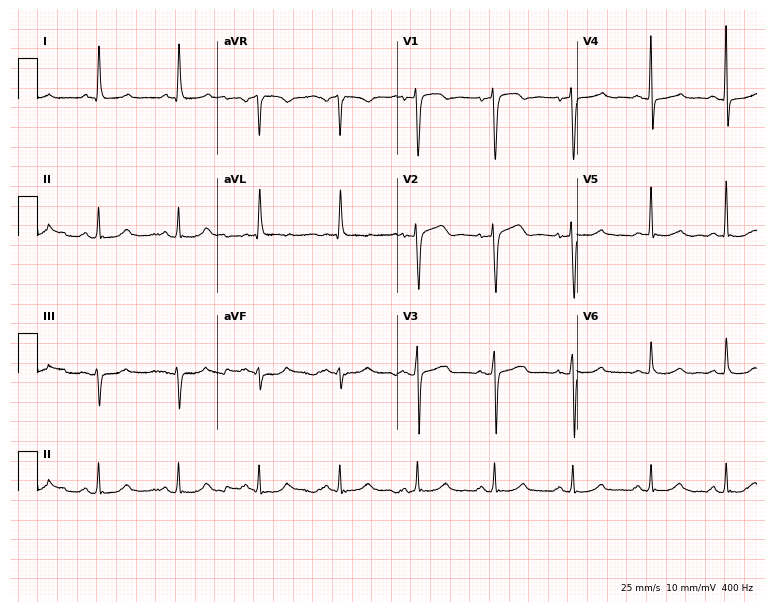
12-lead ECG from a female, 63 years old. Screened for six findings — first-degree AV block, right bundle branch block, left bundle branch block, sinus bradycardia, atrial fibrillation, sinus tachycardia — none is recorded.